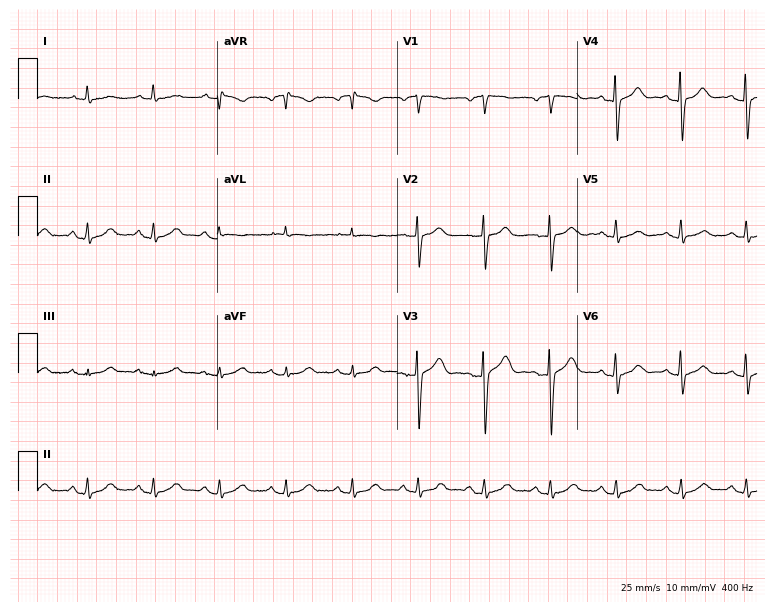
12-lead ECG from a woman, 63 years old. Labelled as a normal ECG.